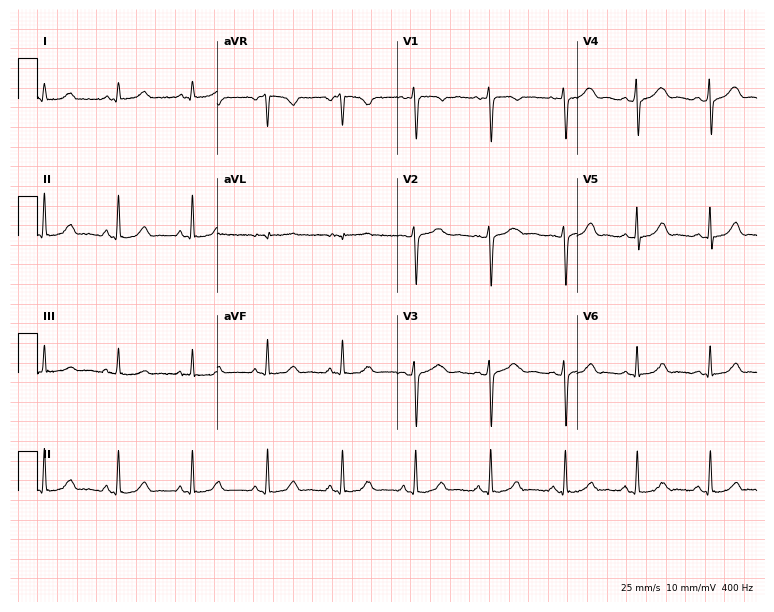
12-lead ECG (7.3-second recording at 400 Hz) from a 25-year-old female. Labelled as a normal ECG.